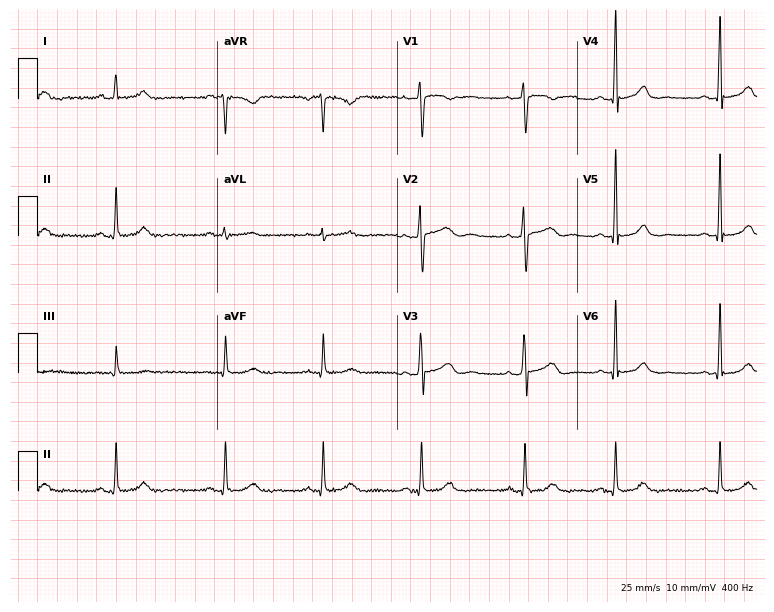
12-lead ECG from a 38-year-old woman. Labelled as a normal ECG.